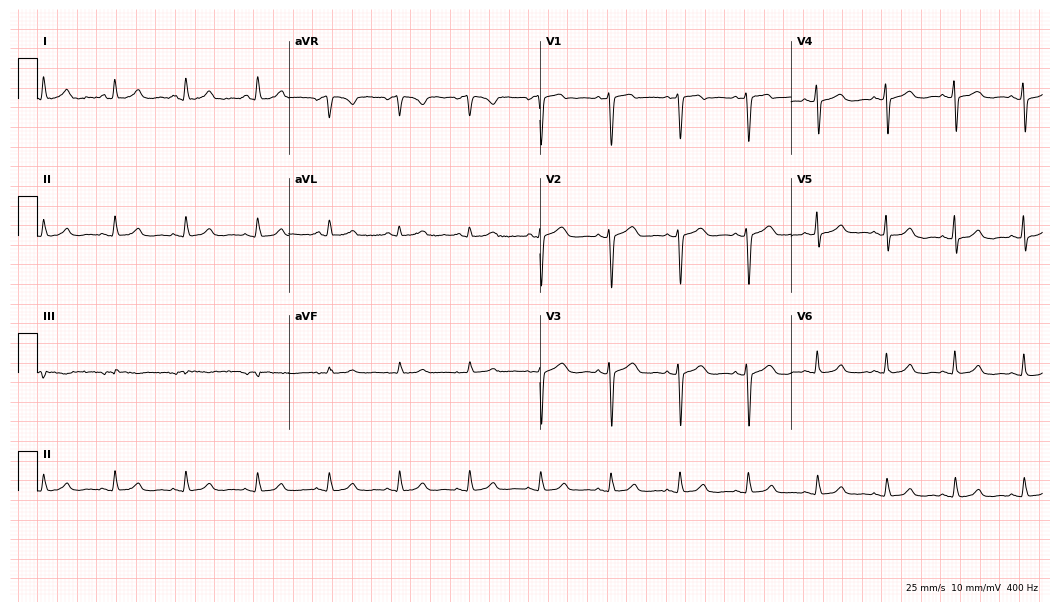
Electrocardiogram, a female patient, 55 years old. Overall reading on record: normal ECG.